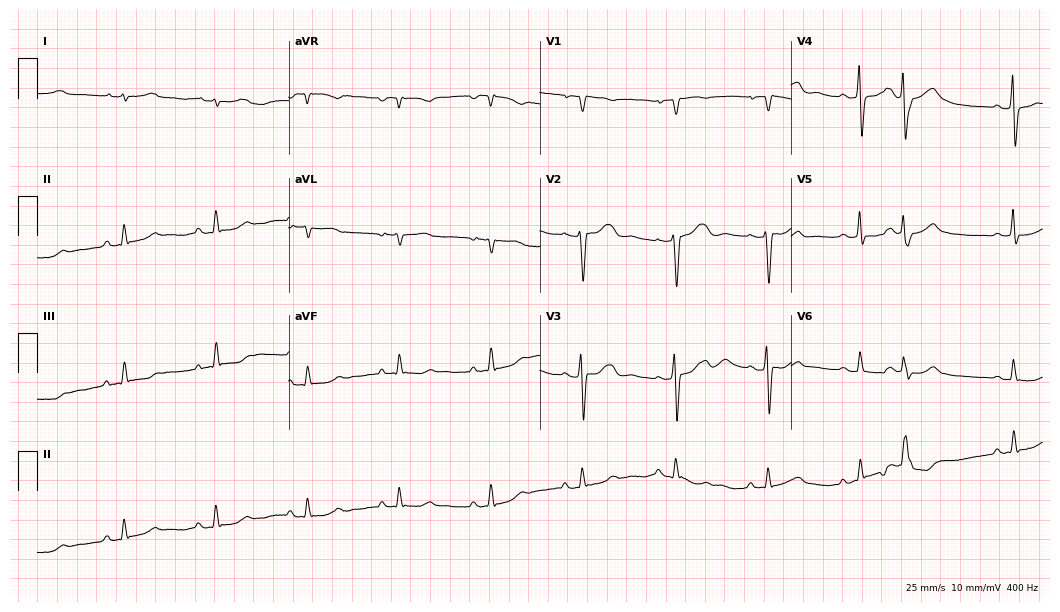
ECG (10.2-second recording at 400 Hz) — a 56-year-old female patient. Screened for six findings — first-degree AV block, right bundle branch block (RBBB), left bundle branch block (LBBB), sinus bradycardia, atrial fibrillation (AF), sinus tachycardia — none is recorded.